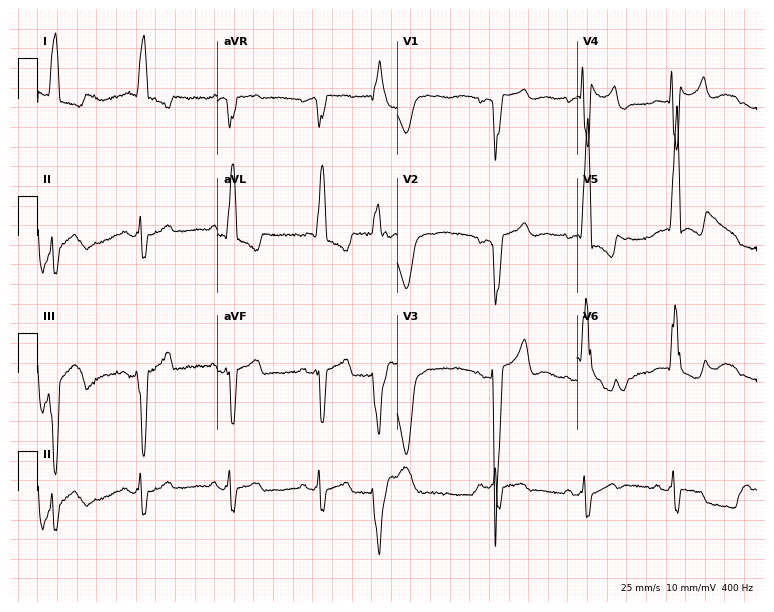
12-lead ECG (7.3-second recording at 400 Hz) from a woman, 63 years old. Screened for six findings — first-degree AV block, right bundle branch block, left bundle branch block, sinus bradycardia, atrial fibrillation, sinus tachycardia — none is recorded.